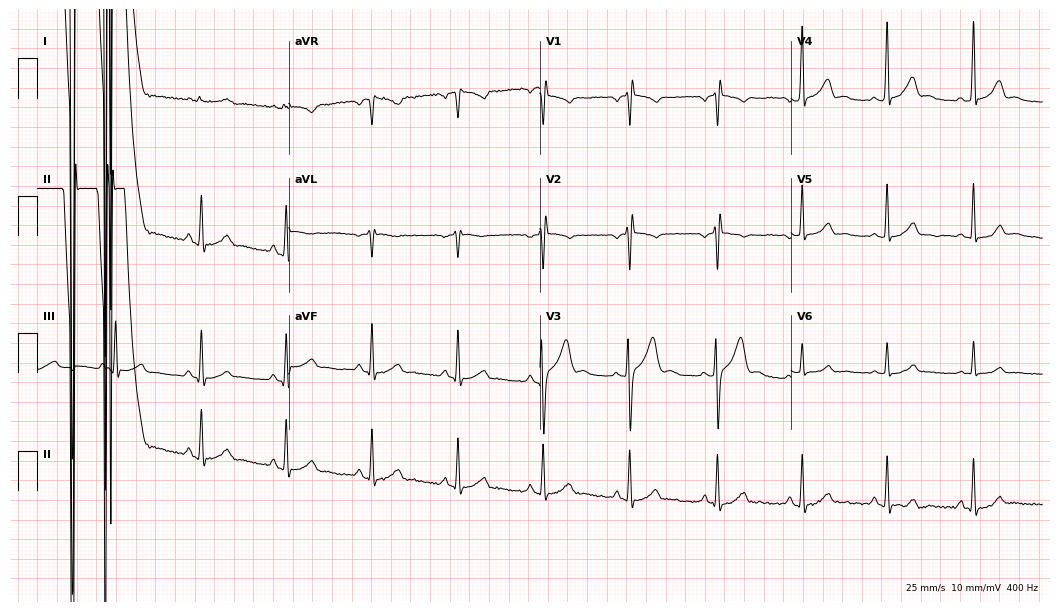
12-lead ECG (10.2-second recording at 400 Hz) from a 17-year-old male patient. Screened for six findings — first-degree AV block, right bundle branch block, left bundle branch block, sinus bradycardia, atrial fibrillation, sinus tachycardia — none is recorded.